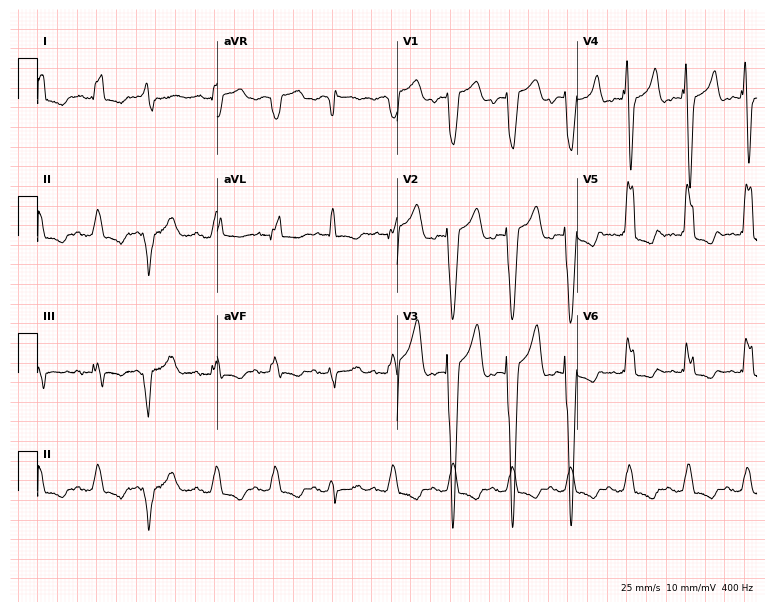
Standard 12-lead ECG recorded from an 83-year-old man. The tracing shows atrial fibrillation (AF).